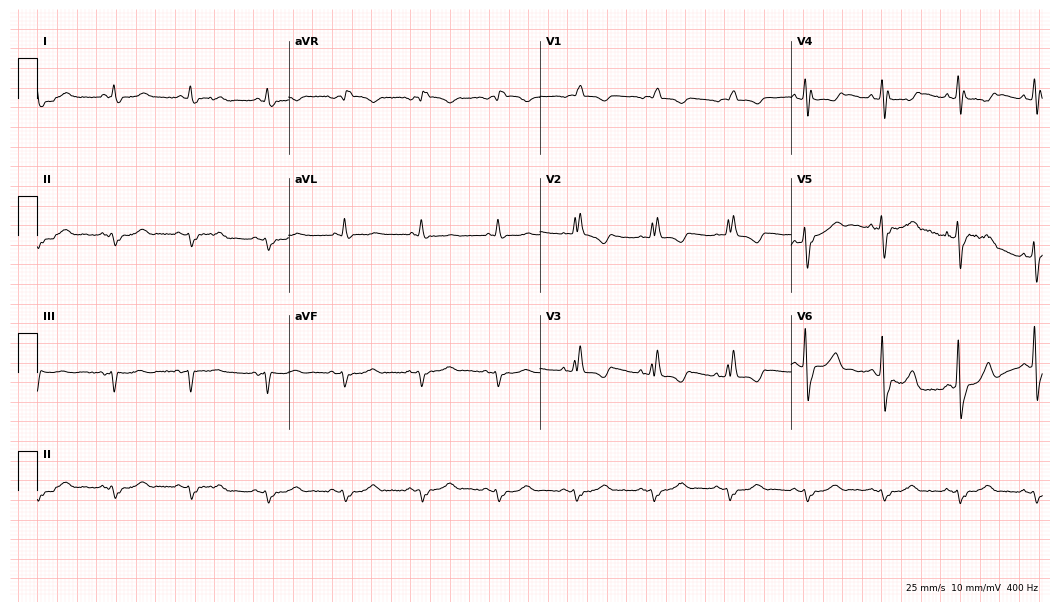
Electrocardiogram (10.2-second recording at 400 Hz), a male patient, 80 years old. Of the six screened findings (first-degree AV block, right bundle branch block (RBBB), left bundle branch block (LBBB), sinus bradycardia, atrial fibrillation (AF), sinus tachycardia), none is recorded.